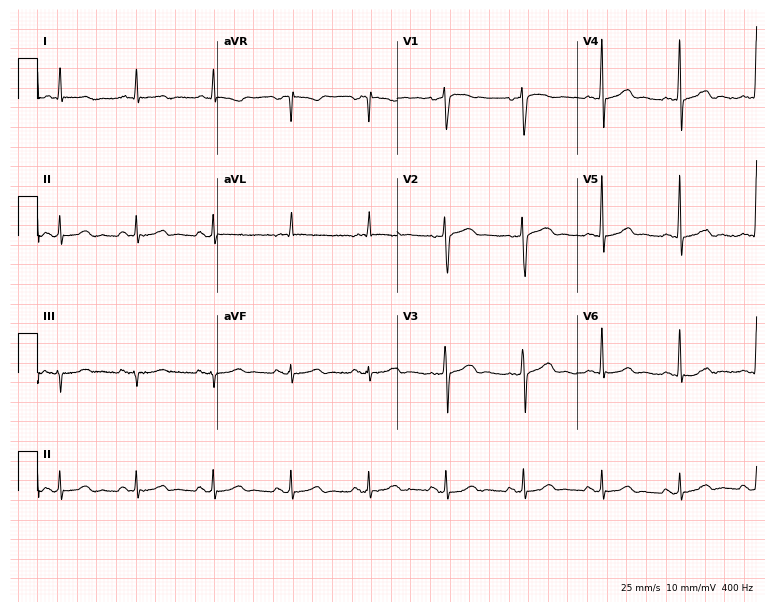
ECG — a woman, 79 years old. Labelled as a normal ECG.